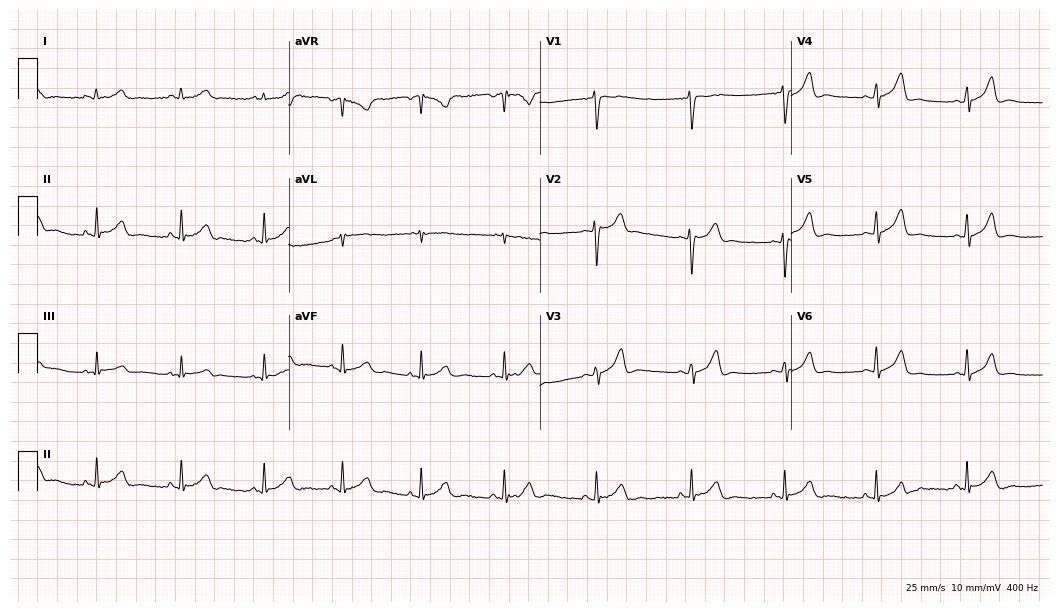
12-lead ECG from a 31-year-old man (10.2-second recording at 400 Hz). No first-degree AV block, right bundle branch block (RBBB), left bundle branch block (LBBB), sinus bradycardia, atrial fibrillation (AF) or sinus tachycardia recorded for this tracing. Findings outside these six are not listed.